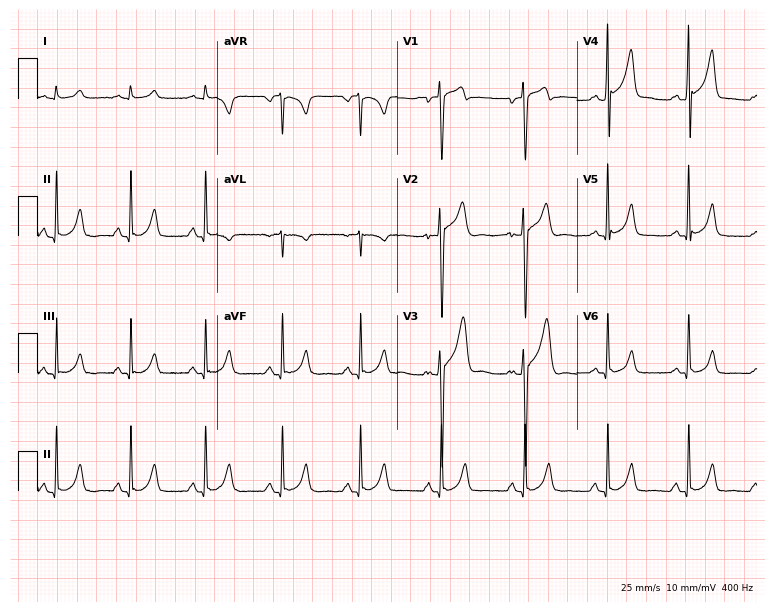
ECG — a 26-year-old male patient. Screened for six findings — first-degree AV block, right bundle branch block, left bundle branch block, sinus bradycardia, atrial fibrillation, sinus tachycardia — none is recorded. Only these six findings were labelled.